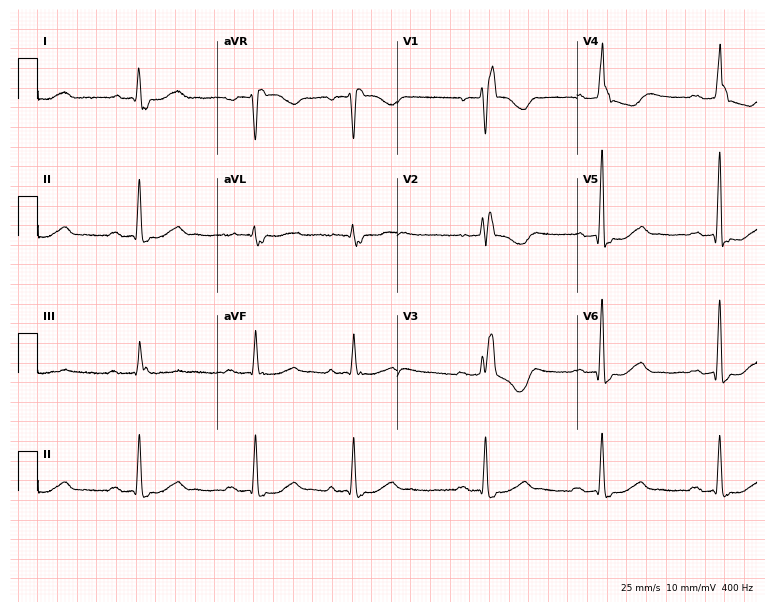
12-lead ECG (7.3-second recording at 400 Hz) from a 69-year-old female patient. Findings include first-degree AV block, right bundle branch block.